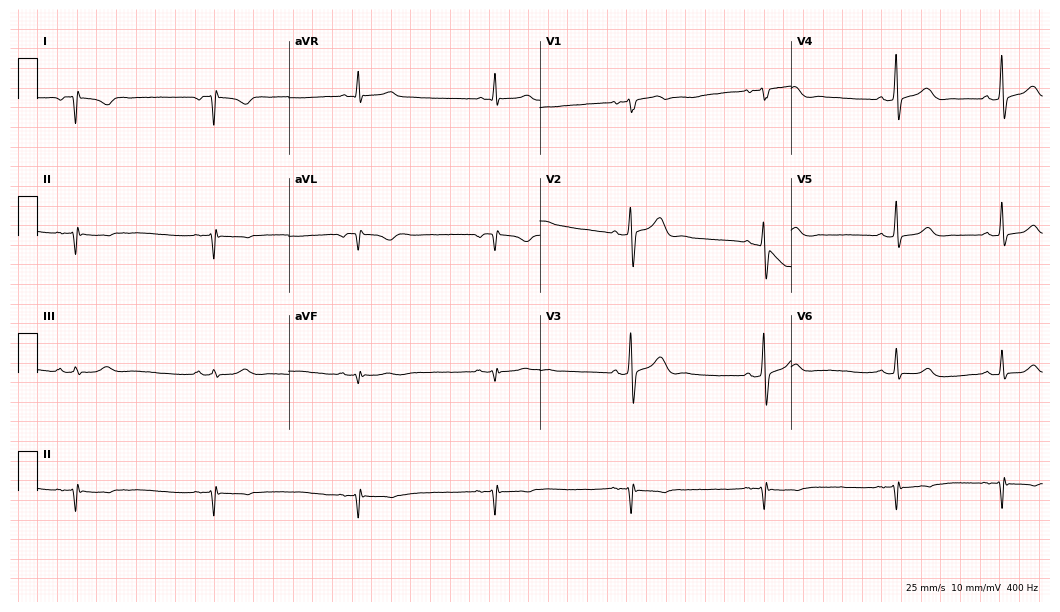
Standard 12-lead ECG recorded from a 58-year-old man. None of these six findings is recorded: first-degree AV block, right bundle branch block, left bundle branch block, sinus bradycardia, atrial fibrillation, sinus tachycardia. Other findings, if any, are not listed.